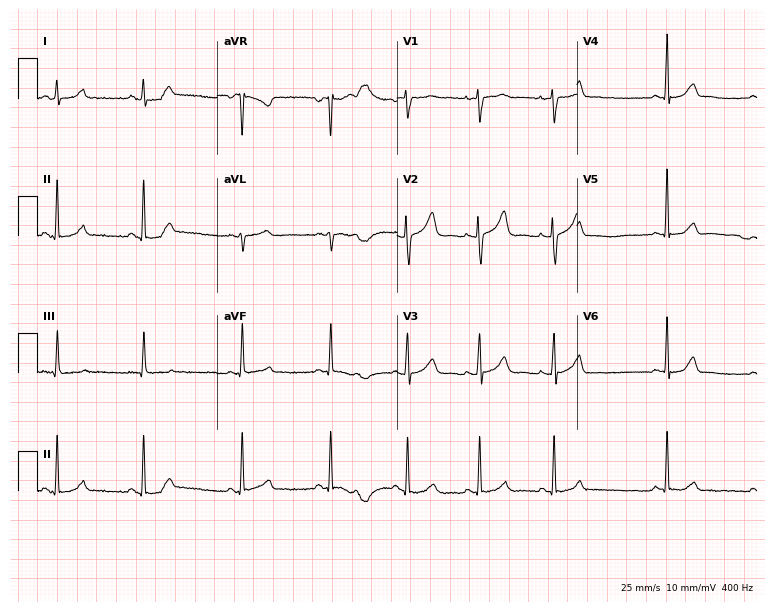
ECG (7.3-second recording at 400 Hz) — a 29-year-old woman. Labelled as a normal ECG.